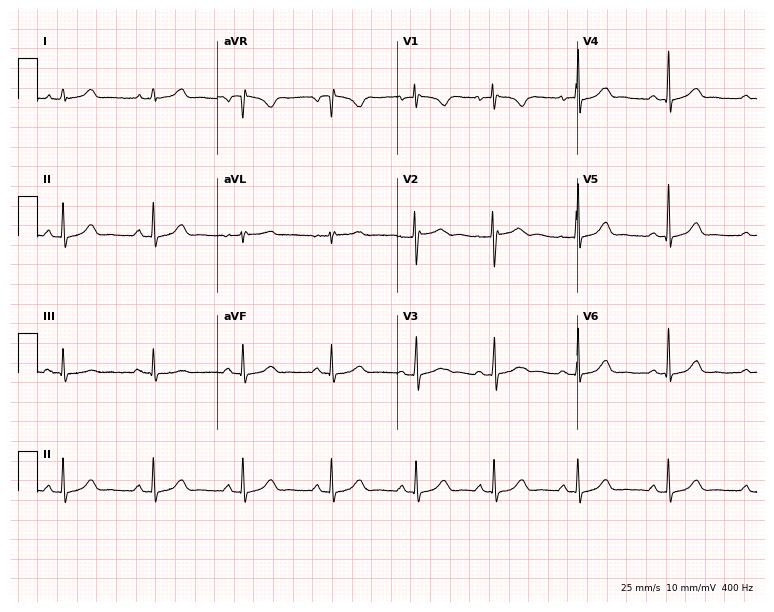
Electrocardiogram, a 24-year-old woman. Overall reading on record: normal ECG.